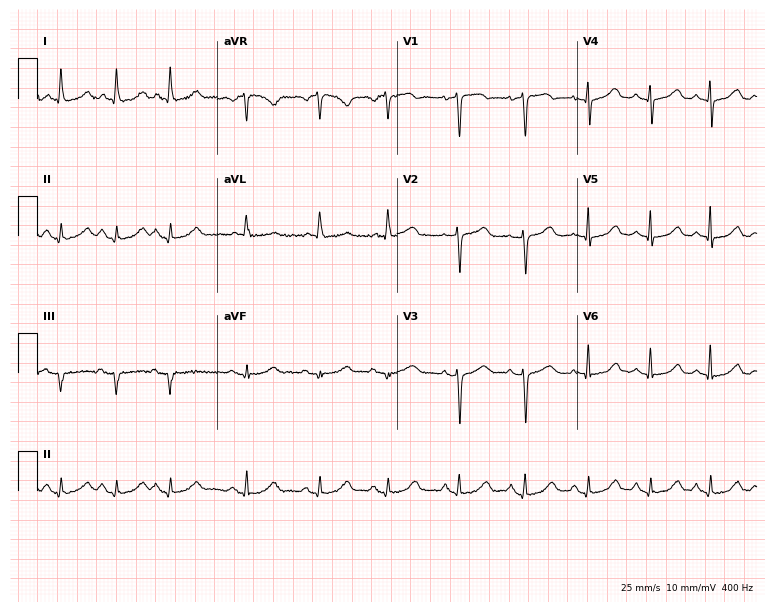
12-lead ECG from a 78-year-old female patient (7.3-second recording at 400 Hz). No first-degree AV block, right bundle branch block (RBBB), left bundle branch block (LBBB), sinus bradycardia, atrial fibrillation (AF) or sinus tachycardia recorded for this tracing. Only these six findings were labelled.